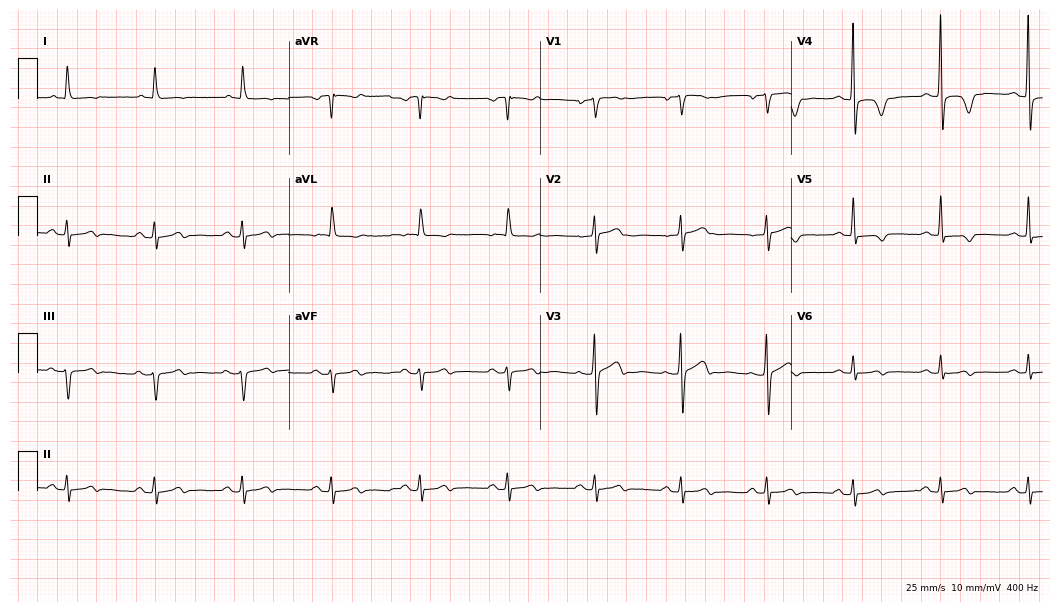
ECG — a woman, 76 years old. Screened for six findings — first-degree AV block, right bundle branch block, left bundle branch block, sinus bradycardia, atrial fibrillation, sinus tachycardia — none is recorded.